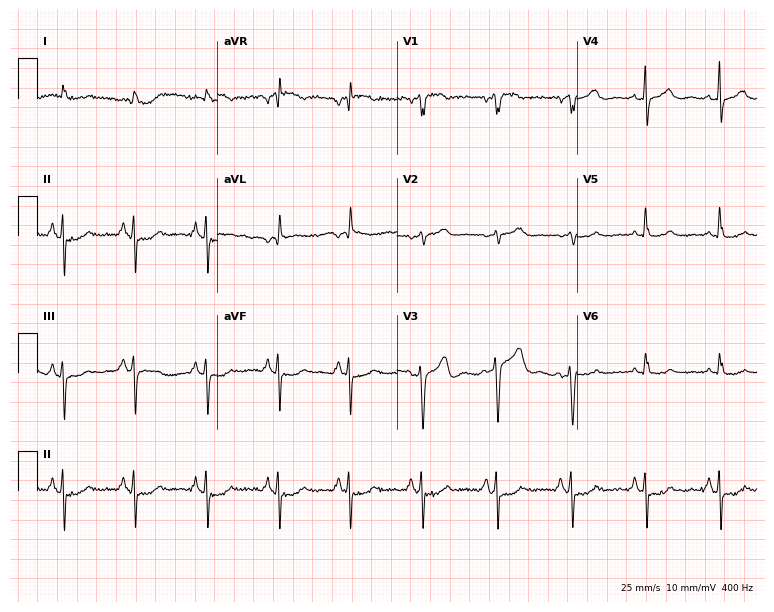
Electrocardiogram (7.3-second recording at 400 Hz), a 79-year-old male patient. Of the six screened findings (first-degree AV block, right bundle branch block (RBBB), left bundle branch block (LBBB), sinus bradycardia, atrial fibrillation (AF), sinus tachycardia), none is recorded.